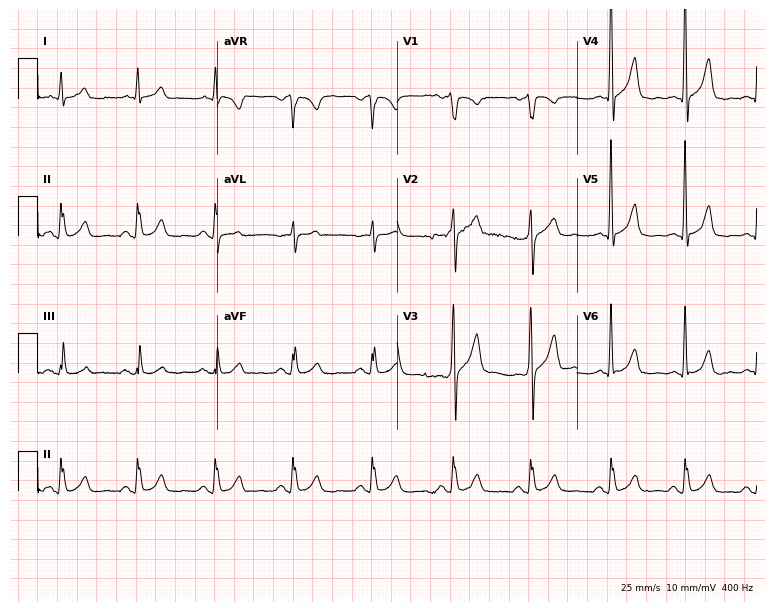
12-lead ECG from a male patient, 35 years old. Labelled as a normal ECG.